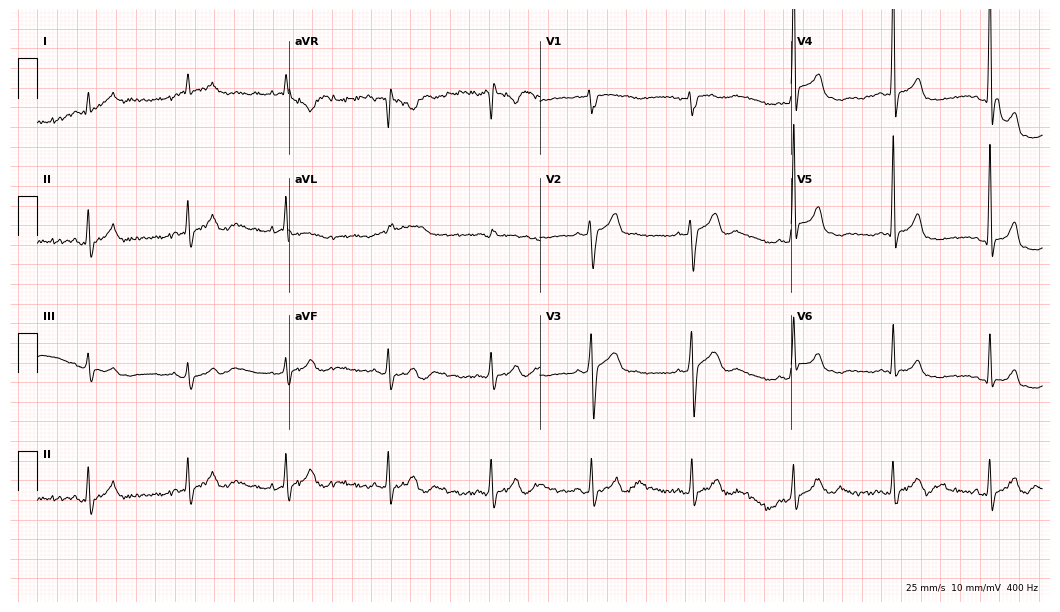
Electrocardiogram (10.2-second recording at 400 Hz), a man, 43 years old. Overall reading on record: normal ECG.